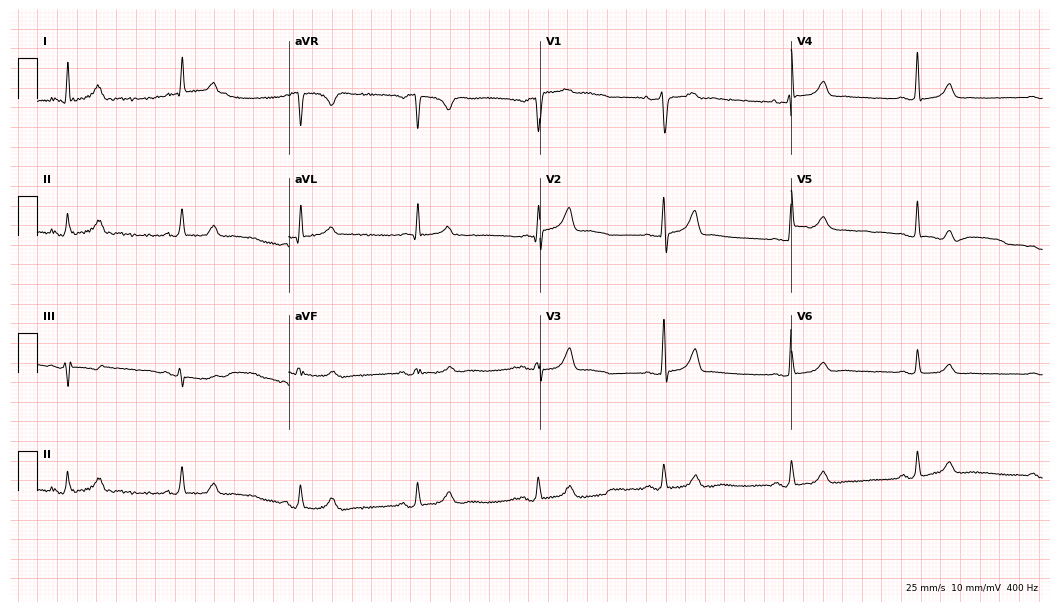
Electrocardiogram (10.2-second recording at 400 Hz), a female, 41 years old. Interpretation includes sinus bradycardia (a sinus rate of 50 beats per minute or less).